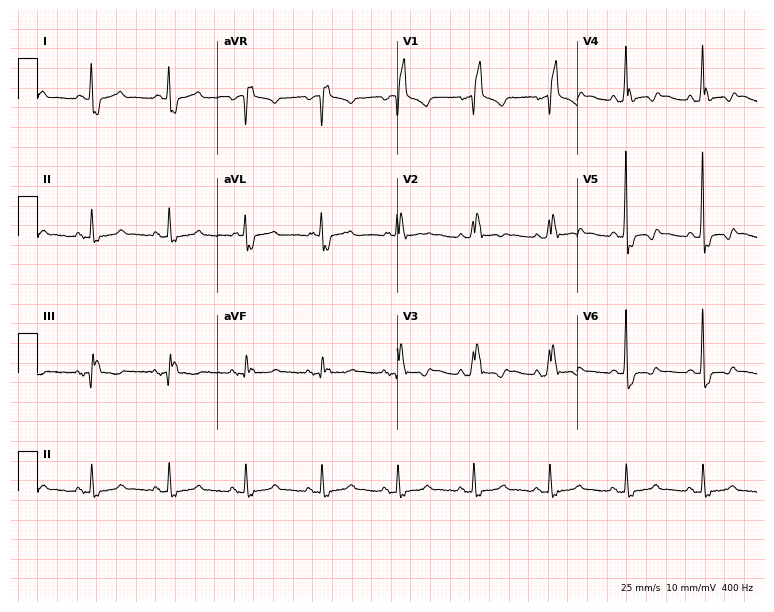
12-lead ECG from a male, 58 years old. Screened for six findings — first-degree AV block, right bundle branch block (RBBB), left bundle branch block (LBBB), sinus bradycardia, atrial fibrillation (AF), sinus tachycardia — none is recorded. Other findings, if any, are not listed.